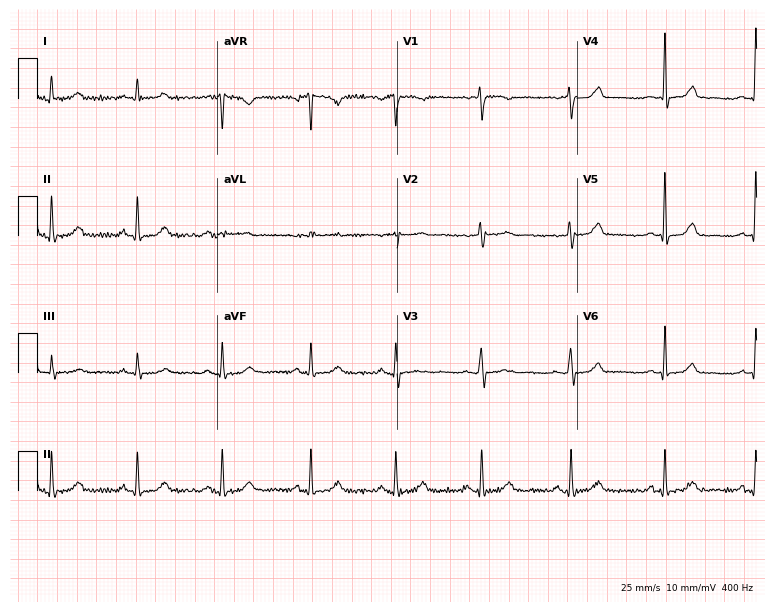
ECG — a 40-year-old woman. Screened for six findings — first-degree AV block, right bundle branch block, left bundle branch block, sinus bradycardia, atrial fibrillation, sinus tachycardia — none is recorded.